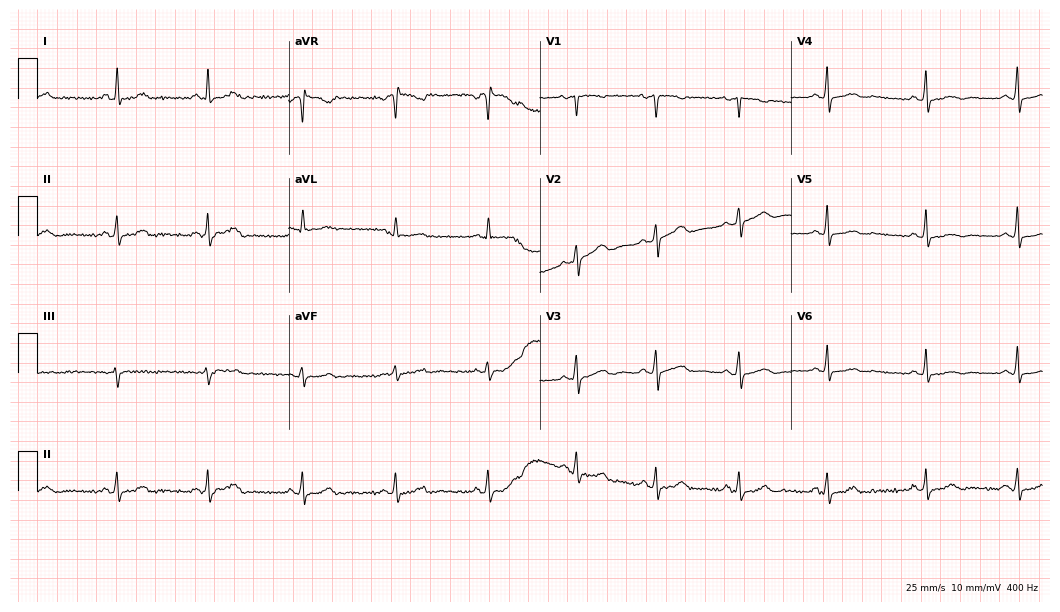
ECG — a 53-year-old female patient. Screened for six findings — first-degree AV block, right bundle branch block, left bundle branch block, sinus bradycardia, atrial fibrillation, sinus tachycardia — none is recorded. Other findings, if any, are not listed.